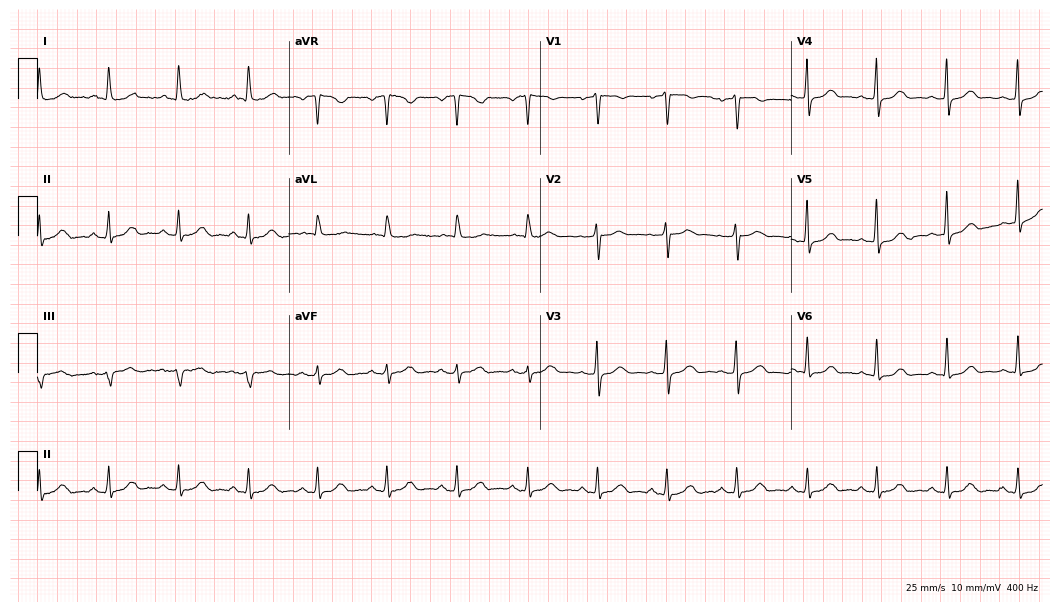
Standard 12-lead ECG recorded from a female, 52 years old. Read as a normal ECG.